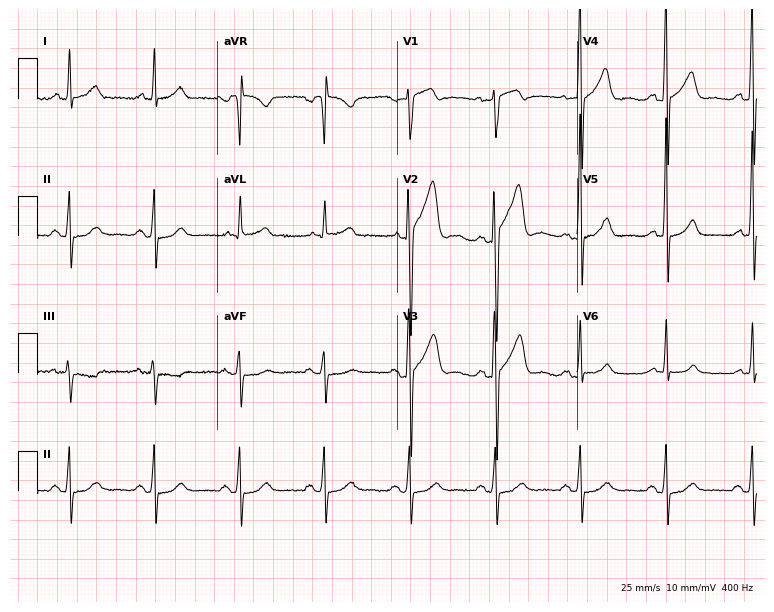
ECG — a male patient, 49 years old. Screened for six findings — first-degree AV block, right bundle branch block, left bundle branch block, sinus bradycardia, atrial fibrillation, sinus tachycardia — none is recorded.